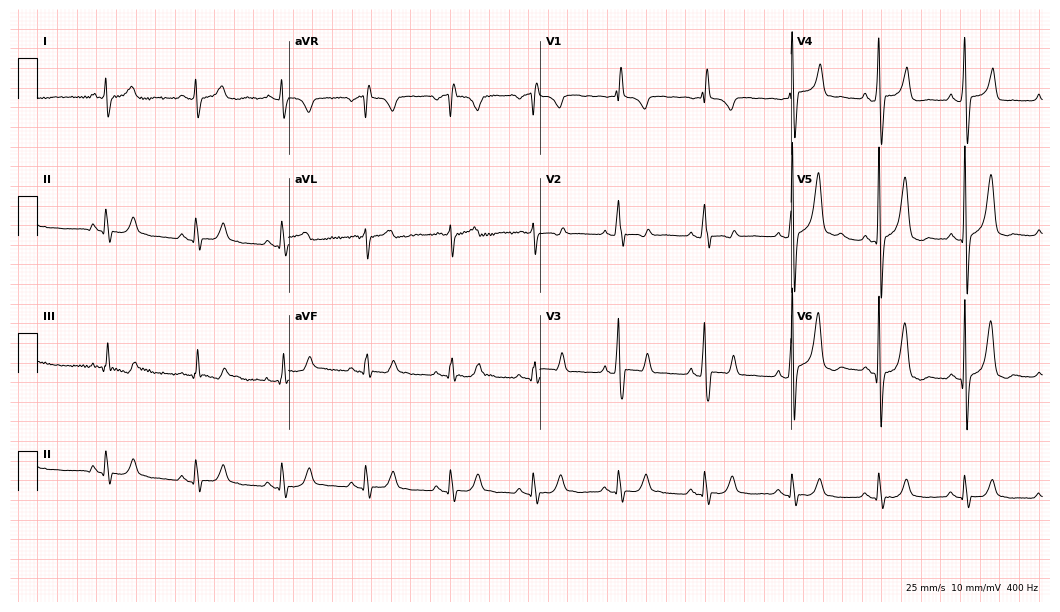
12-lead ECG from a male patient, 29 years old. Screened for six findings — first-degree AV block, right bundle branch block (RBBB), left bundle branch block (LBBB), sinus bradycardia, atrial fibrillation (AF), sinus tachycardia — none is recorded. Other findings, if any, are not listed.